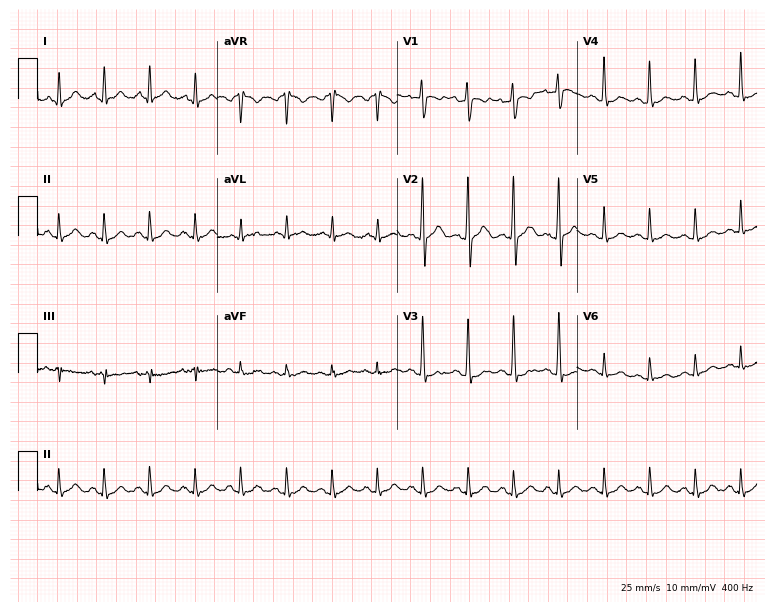
Electrocardiogram (7.3-second recording at 400 Hz), a 24-year-old male patient. Of the six screened findings (first-degree AV block, right bundle branch block, left bundle branch block, sinus bradycardia, atrial fibrillation, sinus tachycardia), none is recorded. Findings outside these six are not listed.